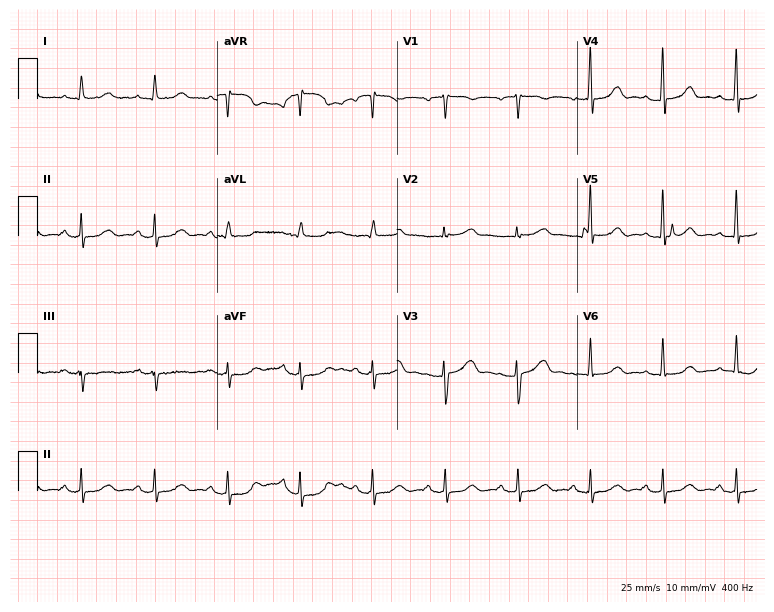
Electrocardiogram, a woman, 40 years old. Overall reading on record: normal ECG.